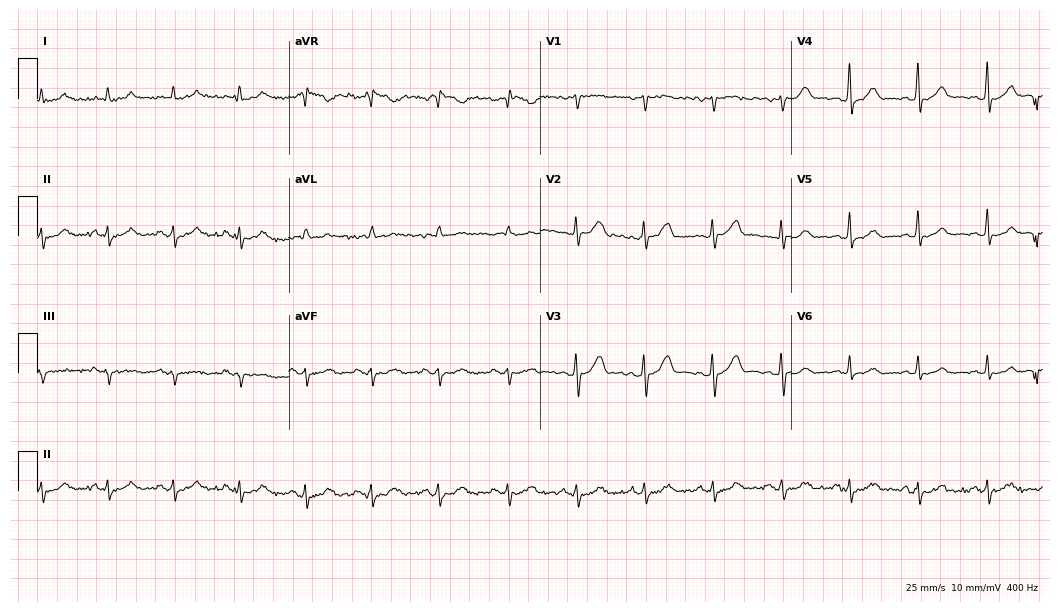
Resting 12-lead electrocardiogram. Patient: a man, 51 years old. None of these six findings is recorded: first-degree AV block, right bundle branch block, left bundle branch block, sinus bradycardia, atrial fibrillation, sinus tachycardia.